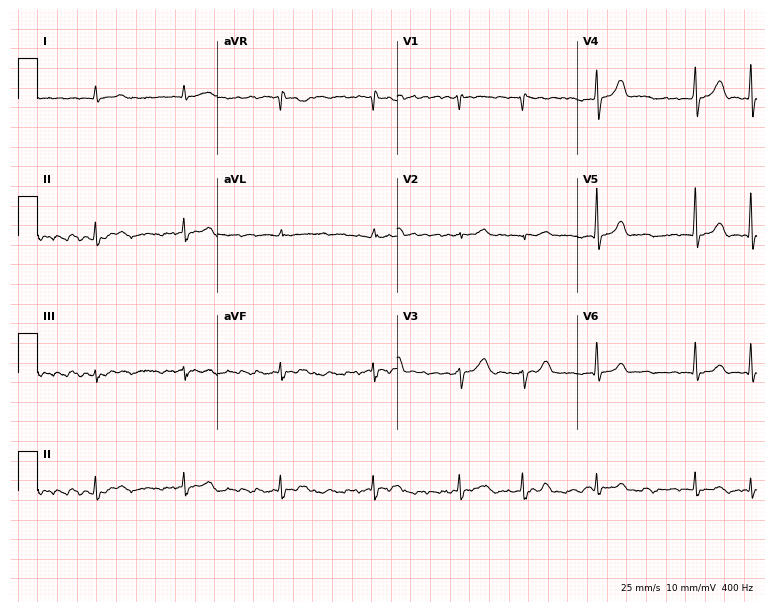
Resting 12-lead electrocardiogram (7.3-second recording at 400 Hz). Patient: a male, 57 years old. None of these six findings is recorded: first-degree AV block, right bundle branch block, left bundle branch block, sinus bradycardia, atrial fibrillation, sinus tachycardia.